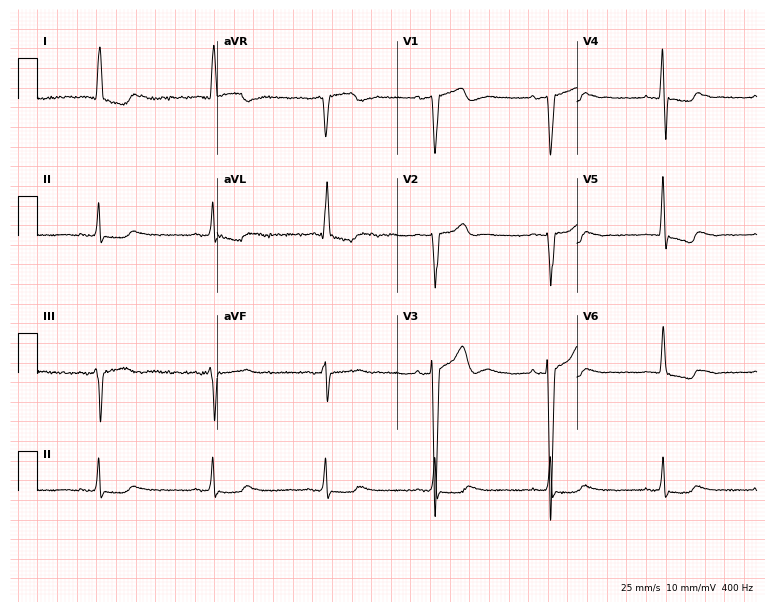
Standard 12-lead ECG recorded from a 68-year-old male. None of these six findings is recorded: first-degree AV block, right bundle branch block (RBBB), left bundle branch block (LBBB), sinus bradycardia, atrial fibrillation (AF), sinus tachycardia. Findings outside these six are not listed.